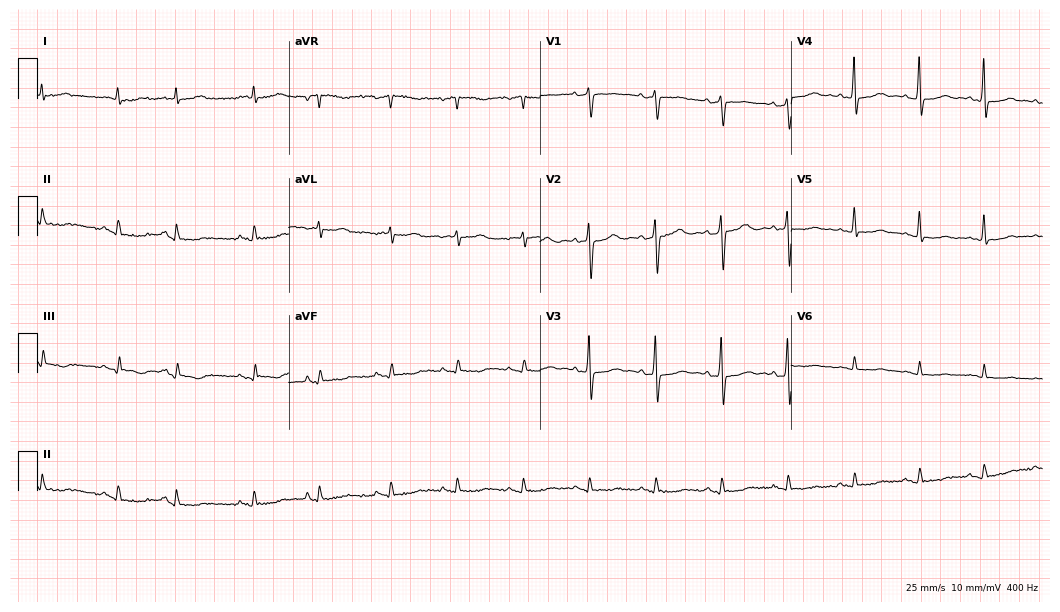
Resting 12-lead electrocardiogram (10.2-second recording at 400 Hz). Patient: a female, 79 years old. None of these six findings is recorded: first-degree AV block, right bundle branch block, left bundle branch block, sinus bradycardia, atrial fibrillation, sinus tachycardia.